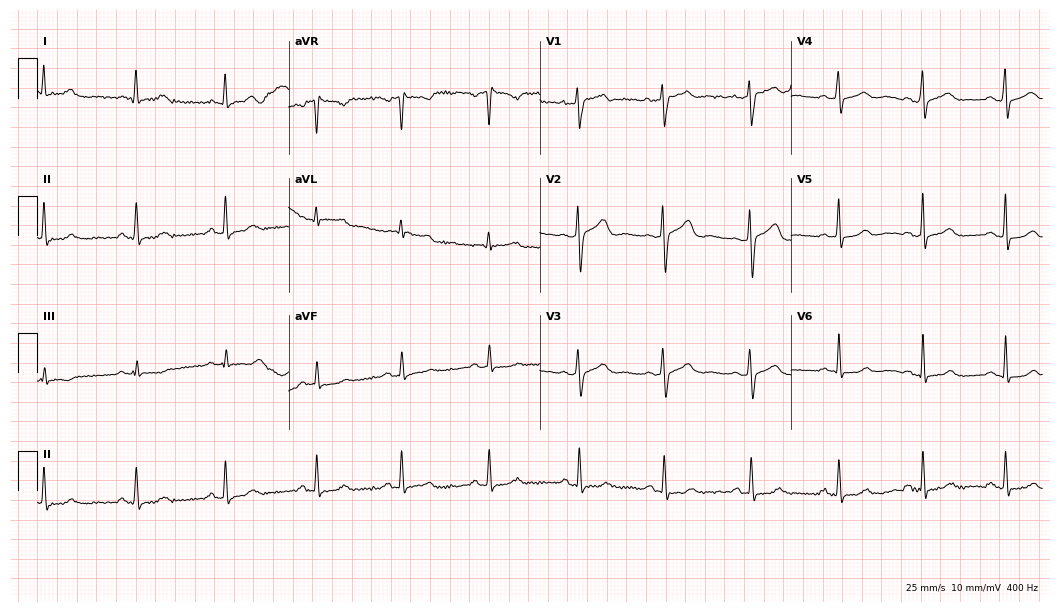
12-lead ECG from a 27-year-old female patient. Recorded interpretation: within normal limits.